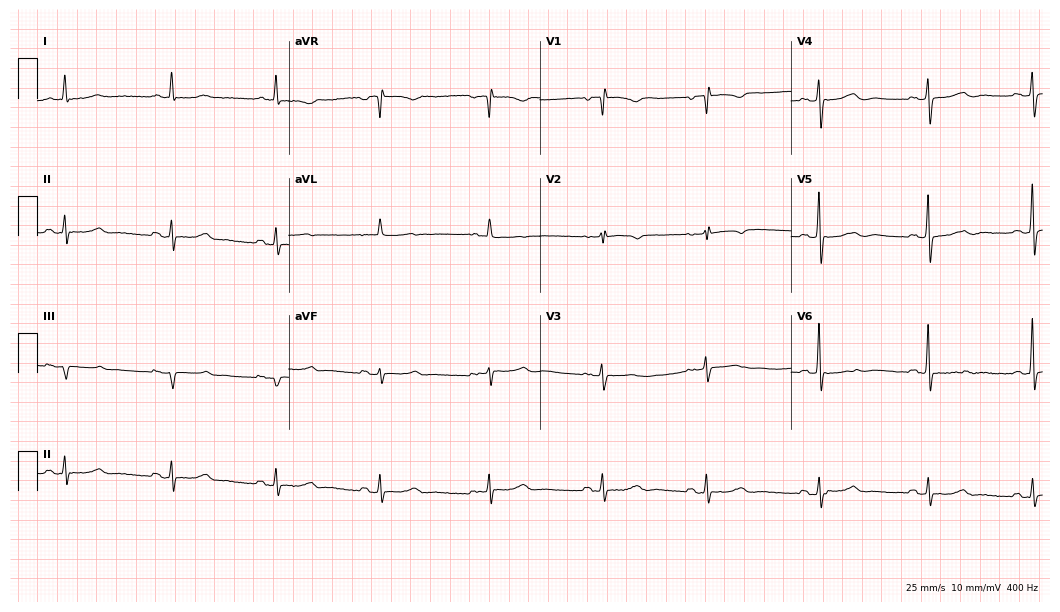
12-lead ECG from a 71-year-old female. Recorded interpretation: within normal limits.